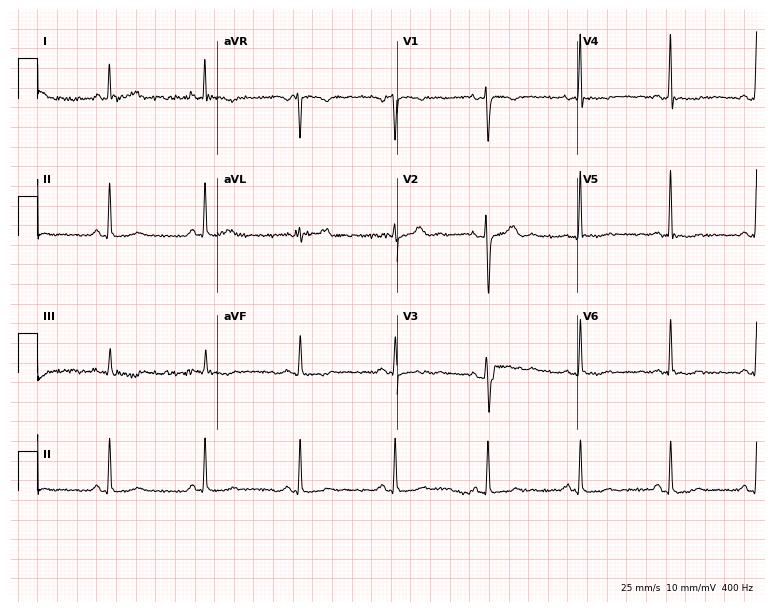
Standard 12-lead ECG recorded from a female, 50 years old. Read as a normal ECG.